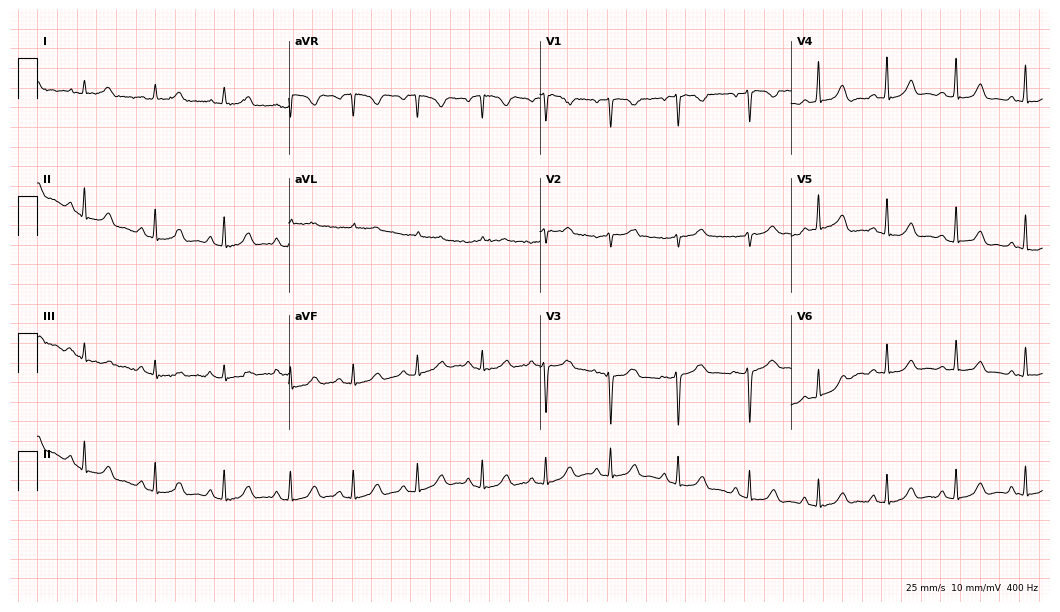
Standard 12-lead ECG recorded from a 34-year-old female. Read as a normal ECG.